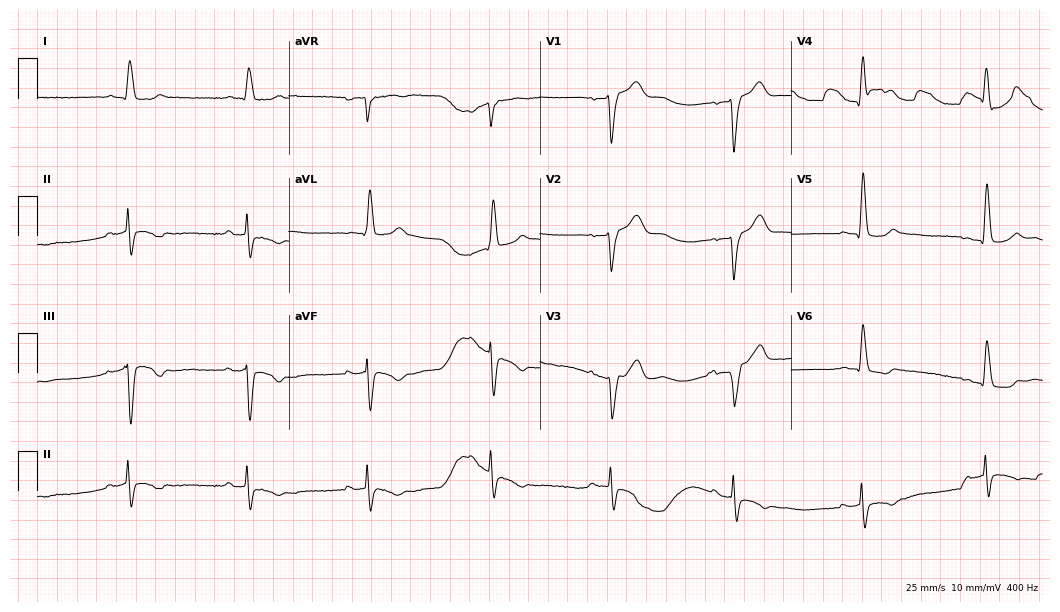
Electrocardiogram (10.2-second recording at 400 Hz), a male patient, 76 years old. Of the six screened findings (first-degree AV block, right bundle branch block, left bundle branch block, sinus bradycardia, atrial fibrillation, sinus tachycardia), none is recorded. Other findings, if any, are not listed.